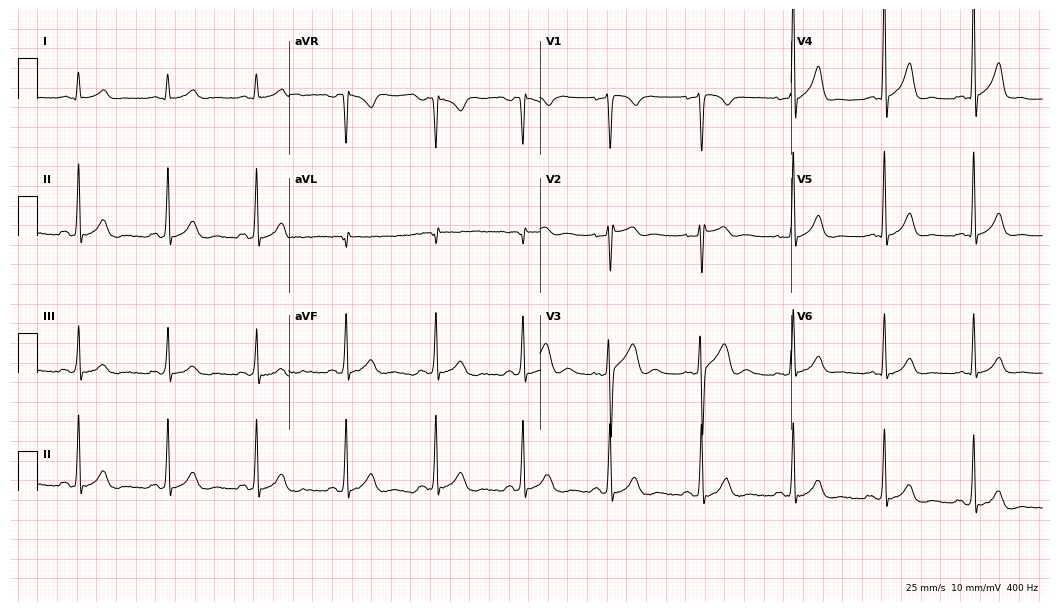
Electrocardiogram (10.2-second recording at 400 Hz), a man, 38 years old. Overall reading on record: normal ECG.